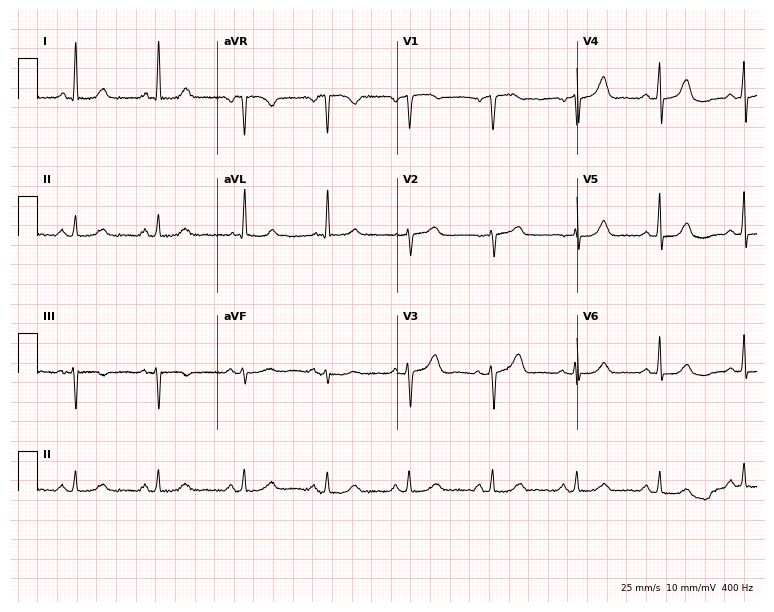
12-lead ECG from a 67-year-old female. Labelled as a normal ECG.